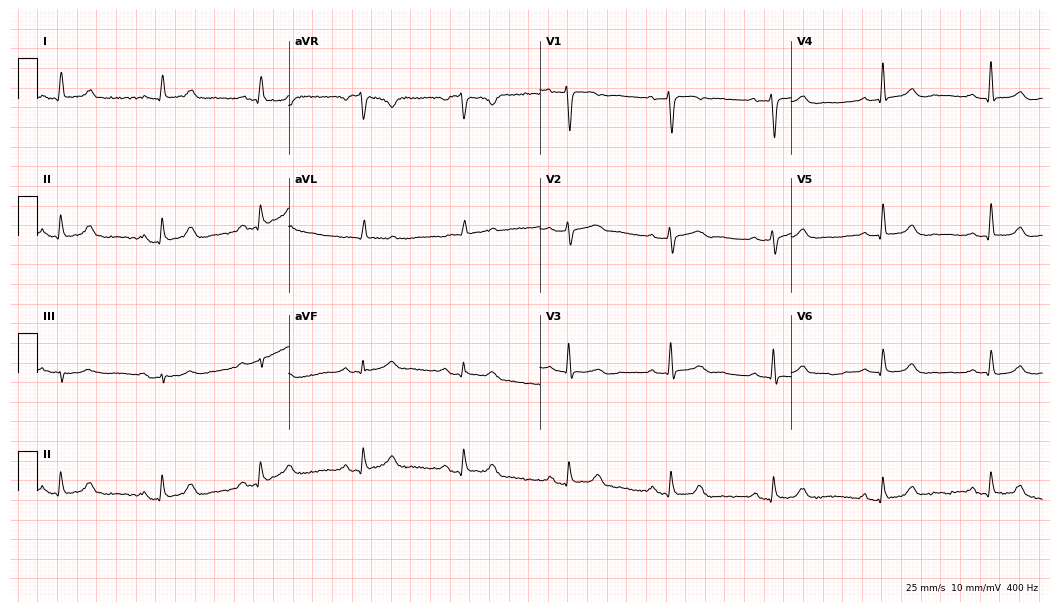
Electrocardiogram, a 69-year-old female patient. Overall reading on record: normal ECG.